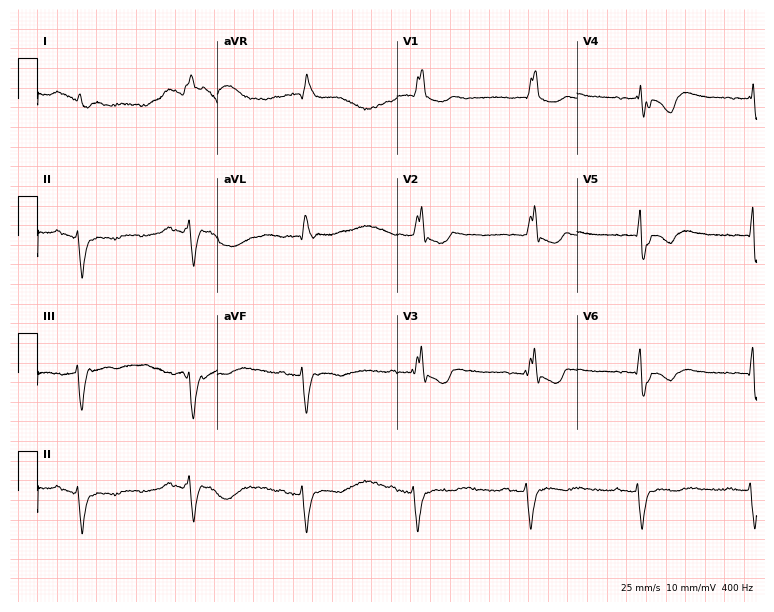
Resting 12-lead electrocardiogram (7.3-second recording at 400 Hz). Patient: a man, 84 years old. The tracing shows right bundle branch block (RBBB).